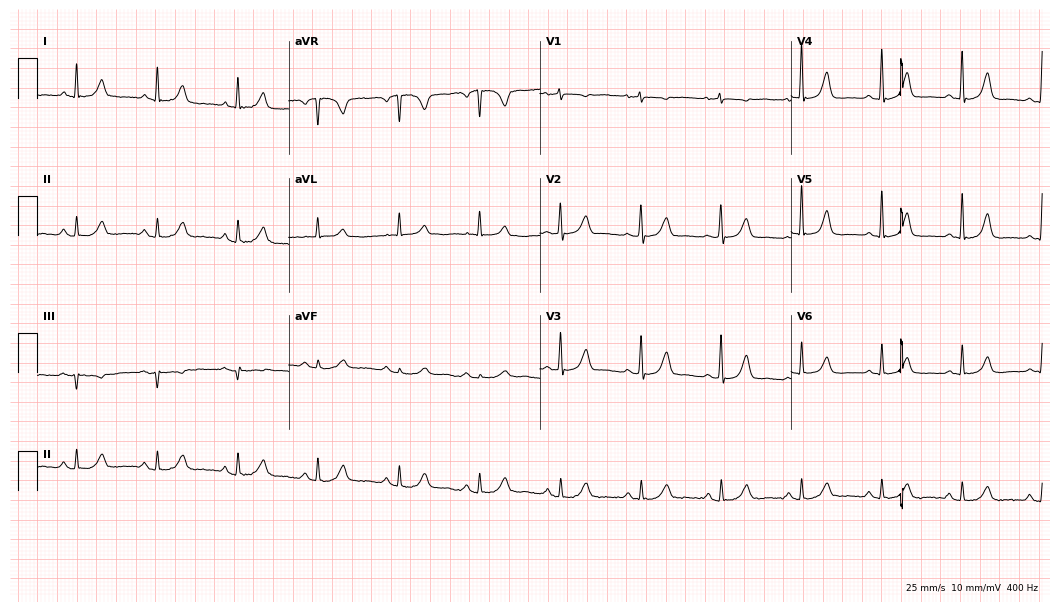
Resting 12-lead electrocardiogram (10.2-second recording at 400 Hz). Patient: a female, 76 years old. Read as a normal ECG.